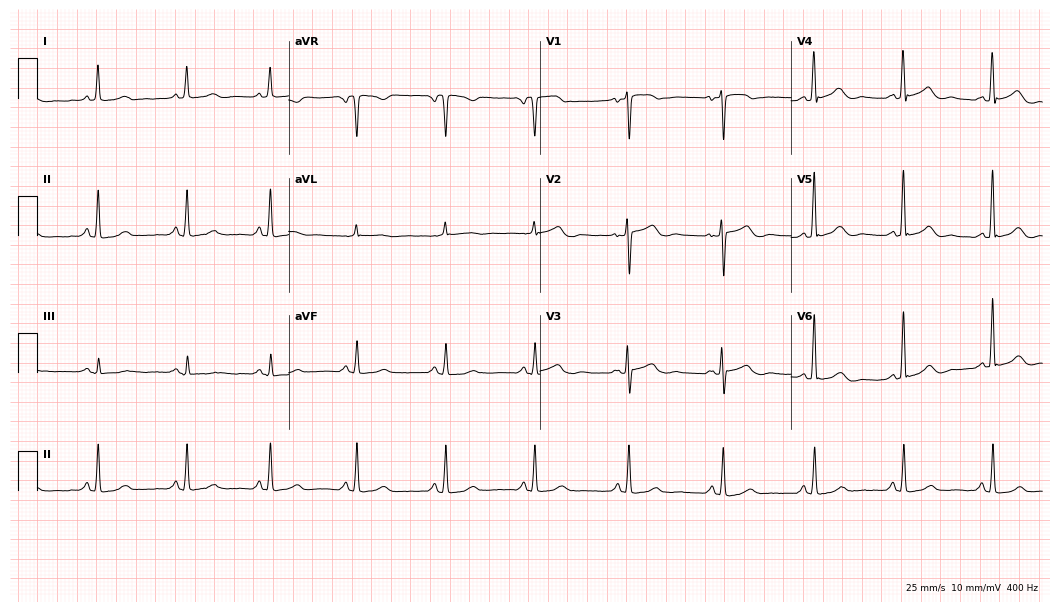
Resting 12-lead electrocardiogram. Patient: a 53-year-old female. Read as a normal ECG.